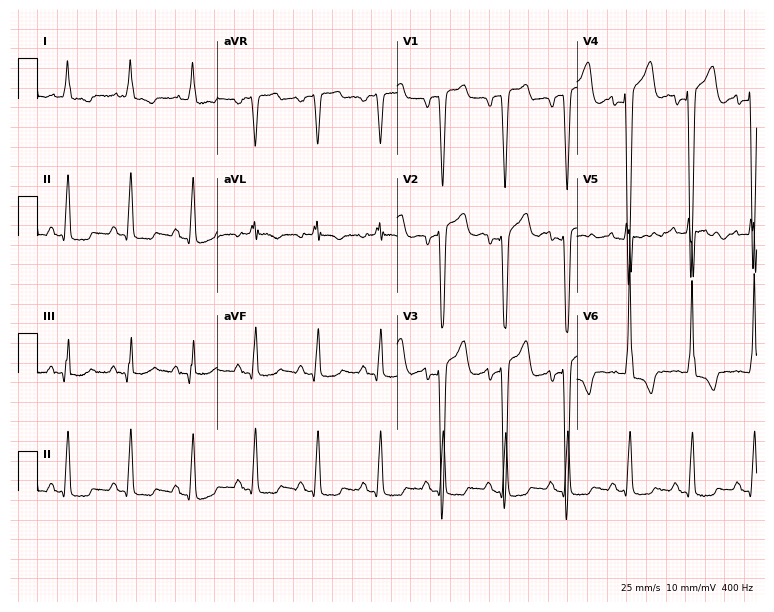
Resting 12-lead electrocardiogram. Patient: a male, 67 years old. None of these six findings is recorded: first-degree AV block, right bundle branch block, left bundle branch block, sinus bradycardia, atrial fibrillation, sinus tachycardia.